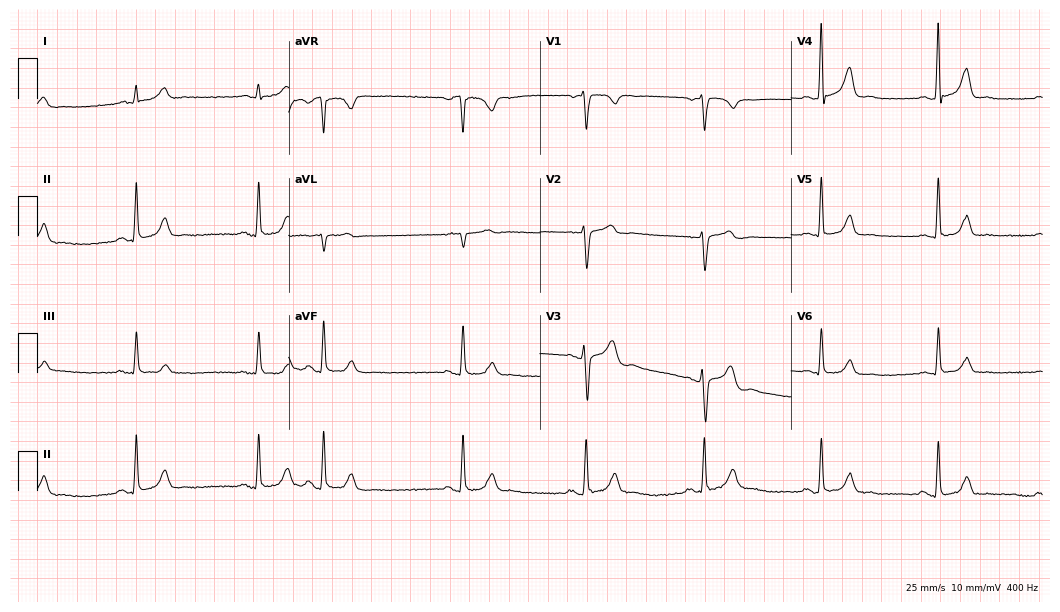
12-lead ECG from a male, 66 years old (10.2-second recording at 400 Hz). Recorded interpretation: within normal limits.